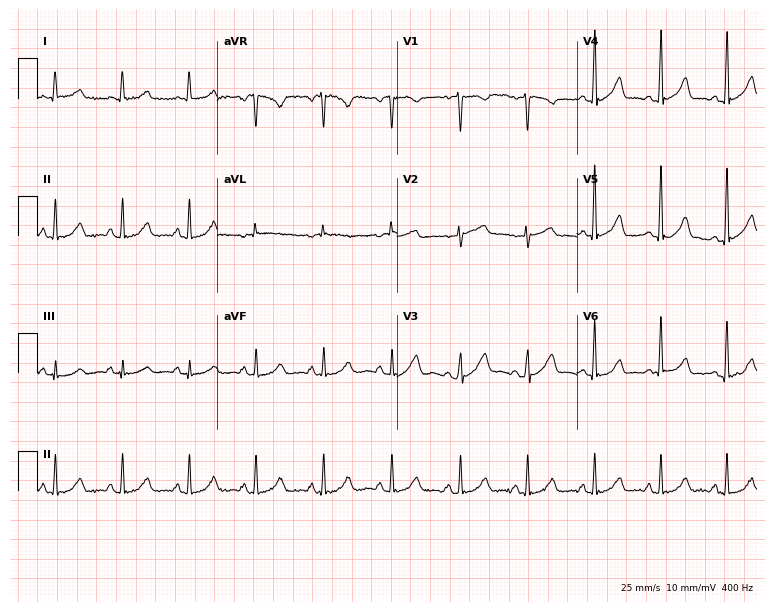
ECG — a female patient, 47 years old. Labelled as a normal ECG.